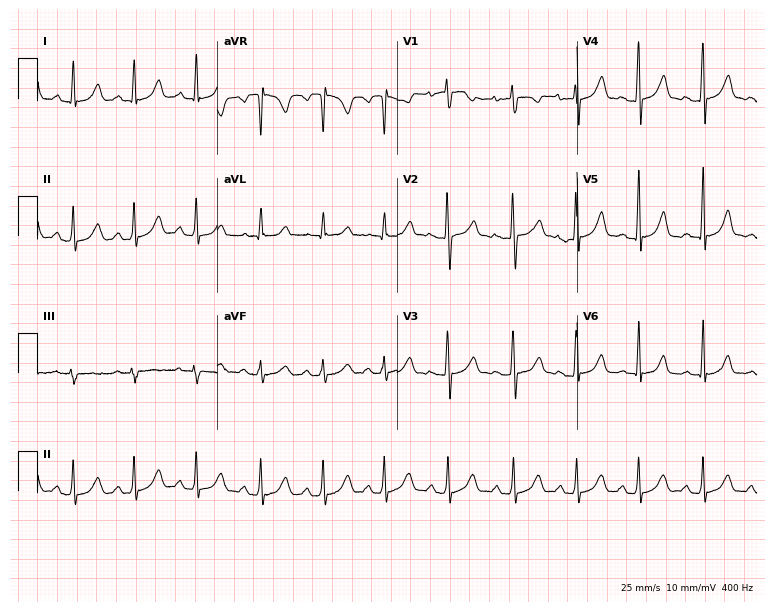
Electrocardiogram (7.3-second recording at 400 Hz), a female patient, 19 years old. Of the six screened findings (first-degree AV block, right bundle branch block, left bundle branch block, sinus bradycardia, atrial fibrillation, sinus tachycardia), none is recorded.